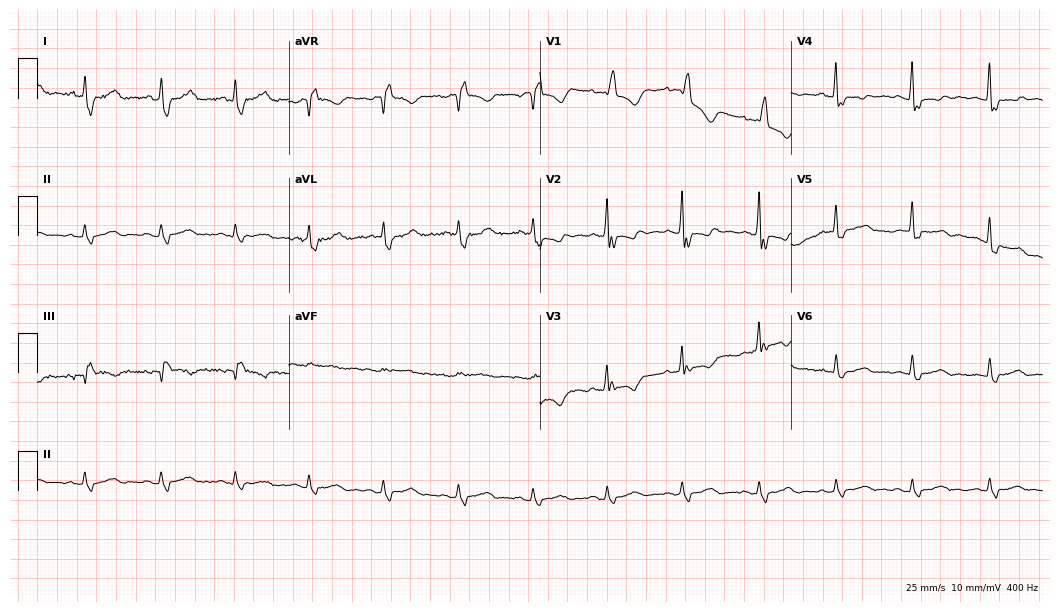
ECG — a 69-year-old woman. Findings include right bundle branch block.